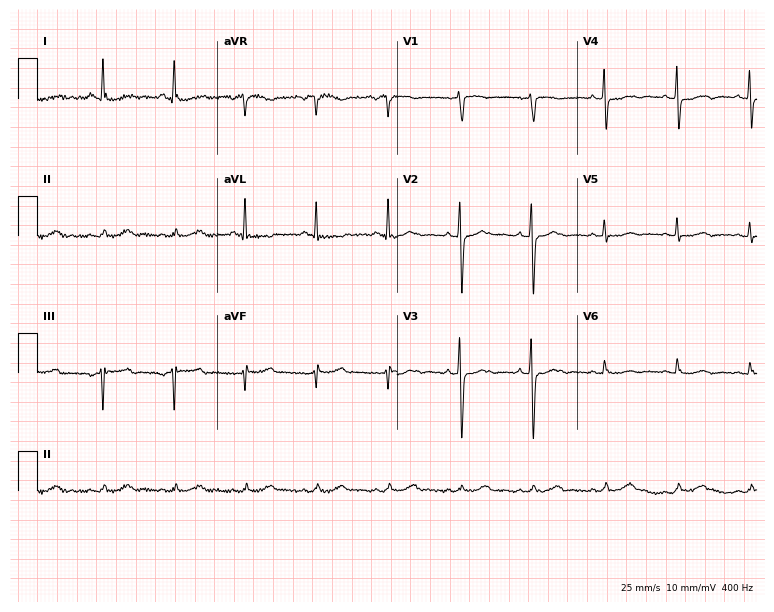
Resting 12-lead electrocardiogram. Patient: a woman, 63 years old. None of these six findings is recorded: first-degree AV block, right bundle branch block, left bundle branch block, sinus bradycardia, atrial fibrillation, sinus tachycardia.